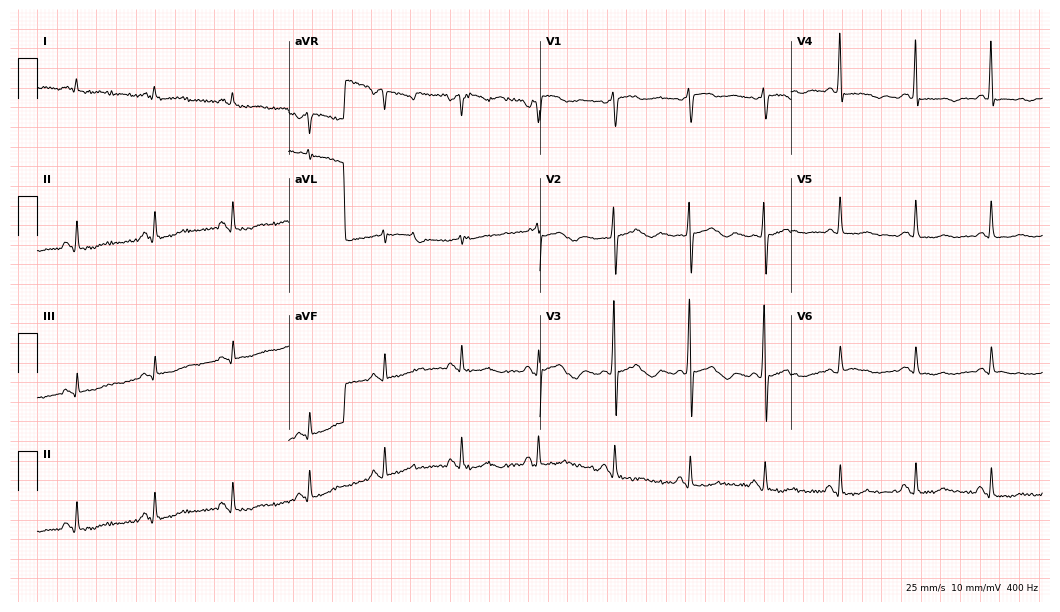
12-lead ECG (10.2-second recording at 400 Hz) from a woman, 84 years old. Screened for six findings — first-degree AV block, right bundle branch block, left bundle branch block, sinus bradycardia, atrial fibrillation, sinus tachycardia — none is recorded. Only these six findings were labelled.